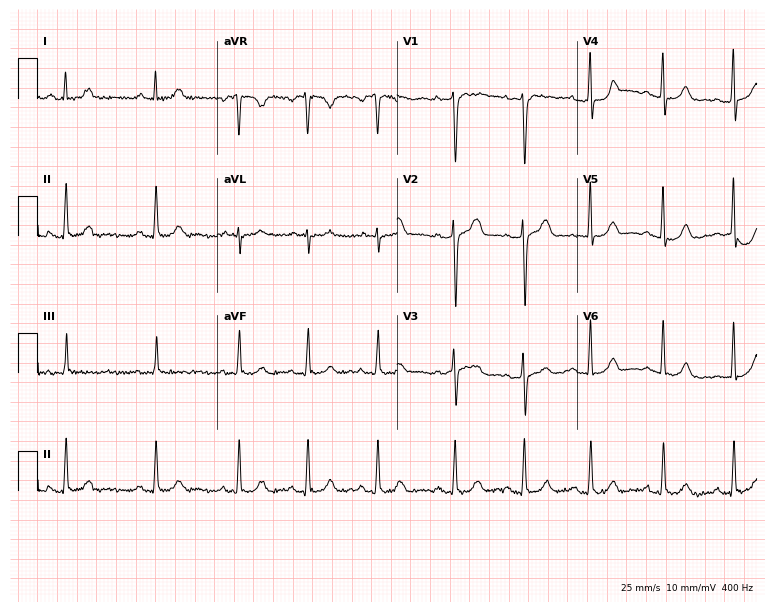
12-lead ECG from a female, 18 years old. No first-degree AV block, right bundle branch block (RBBB), left bundle branch block (LBBB), sinus bradycardia, atrial fibrillation (AF) or sinus tachycardia recorded for this tracing.